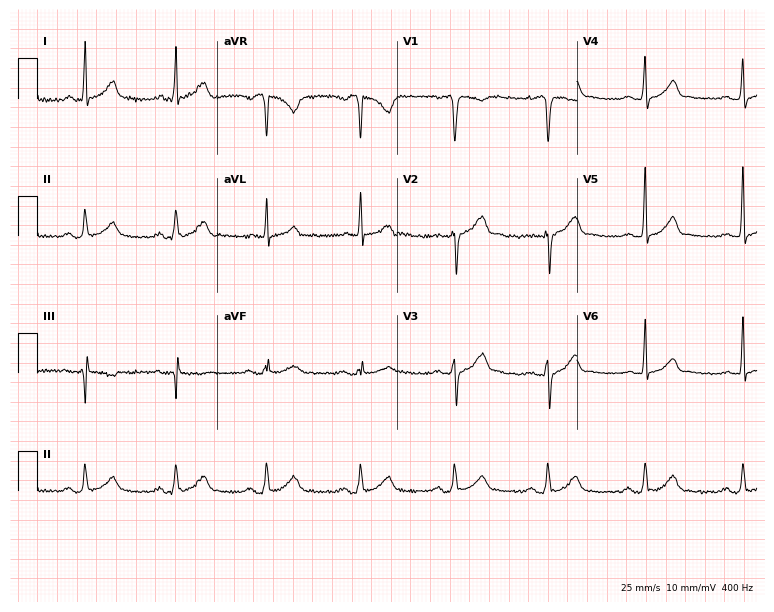
Standard 12-lead ECG recorded from a male patient, 40 years old. None of these six findings is recorded: first-degree AV block, right bundle branch block, left bundle branch block, sinus bradycardia, atrial fibrillation, sinus tachycardia.